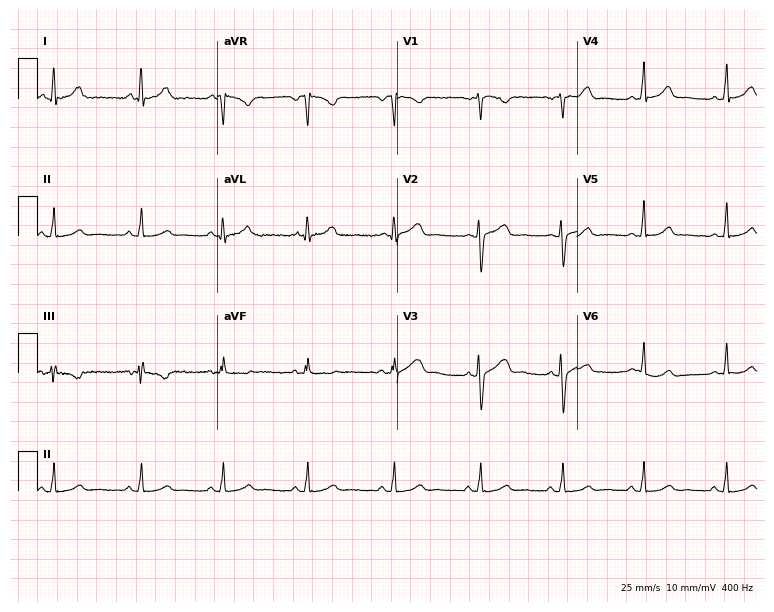
12-lead ECG from a woman, 30 years old. Labelled as a normal ECG.